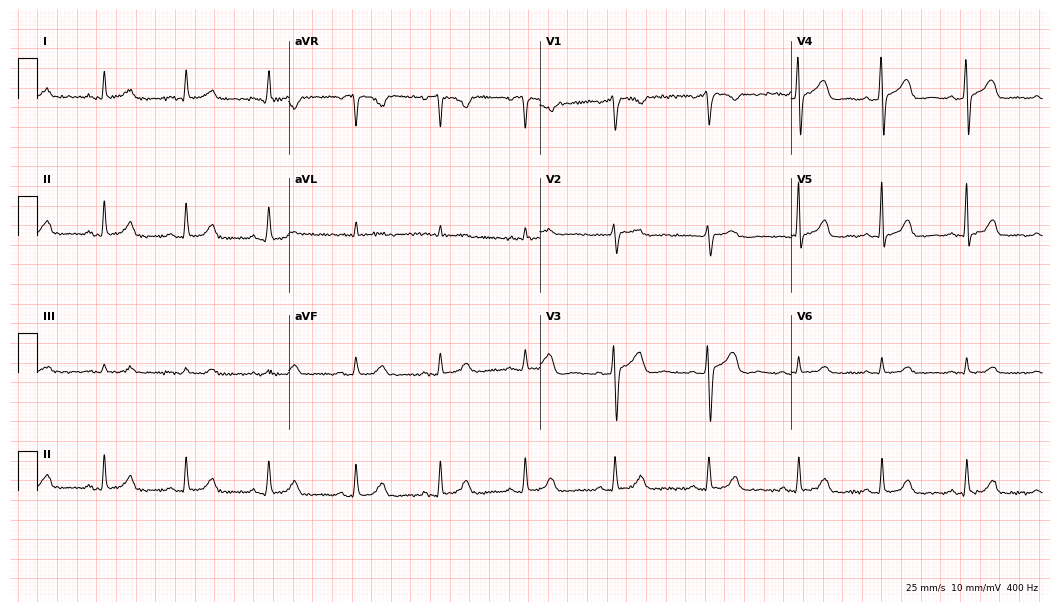
ECG — a female, 41 years old. Labelled as a normal ECG.